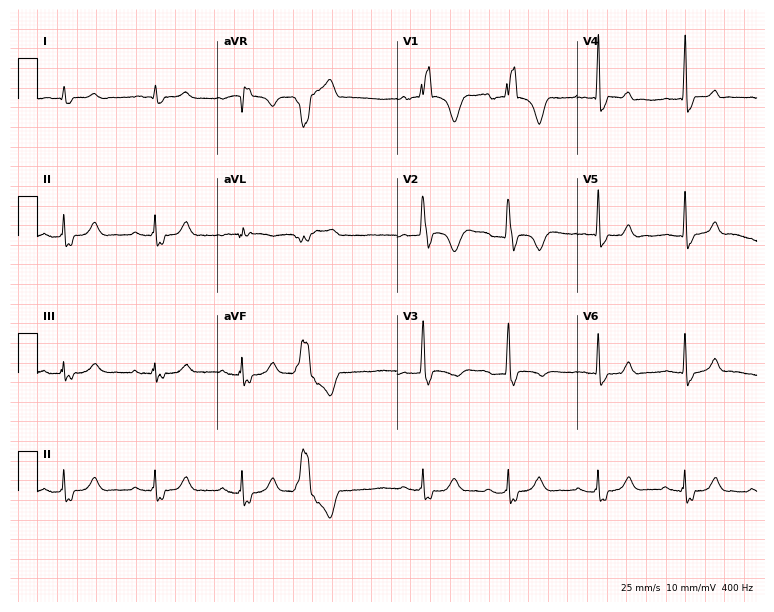
Standard 12-lead ECG recorded from an 80-year-old male patient. The tracing shows right bundle branch block.